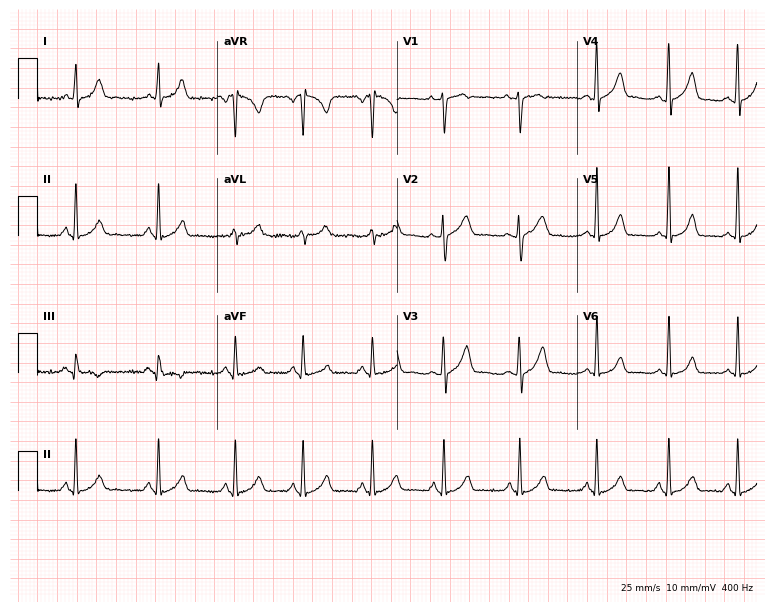
Resting 12-lead electrocardiogram. Patient: a 31-year-old female. None of these six findings is recorded: first-degree AV block, right bundle branch block, left bundle branch block, sinus bradycardia, atrial fibrillation, sinus tachycardia.